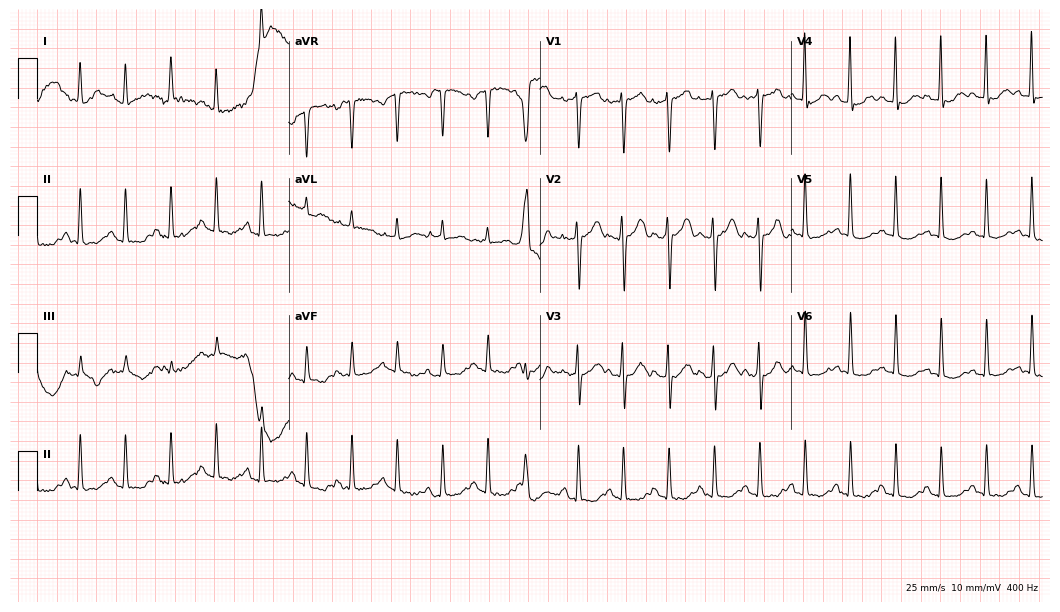
ECG — a woman, 84 years old. Findings include sinus tachycardia (a sinus rate of 100 beats per minute or more).